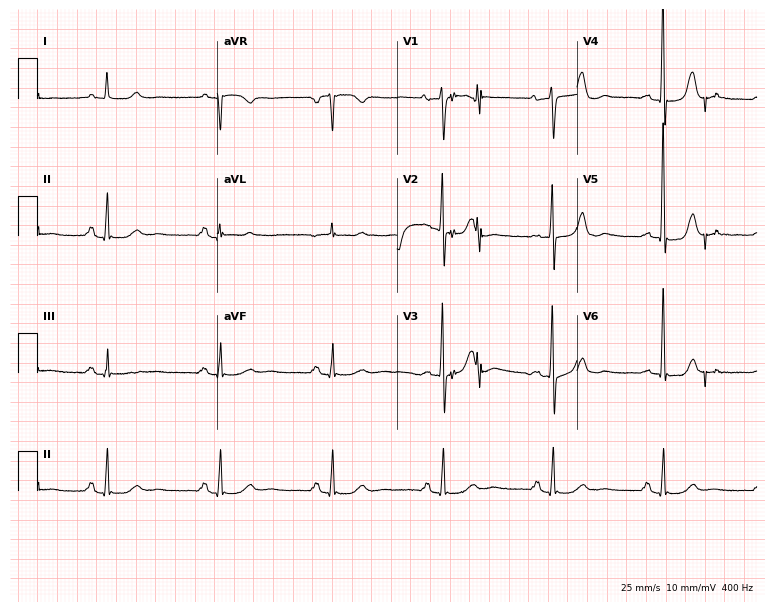
Standard 12-lead ECG recorded from a female, 59 years old (7.3-second recording at 400 Hz). None of these six findings is recorded: first-degree AV block, right bundle branch block (RBBB), left bundle branch block (LBBB), sinus bradycardia, atrial fibrillation (AF), sinus tachycardia.